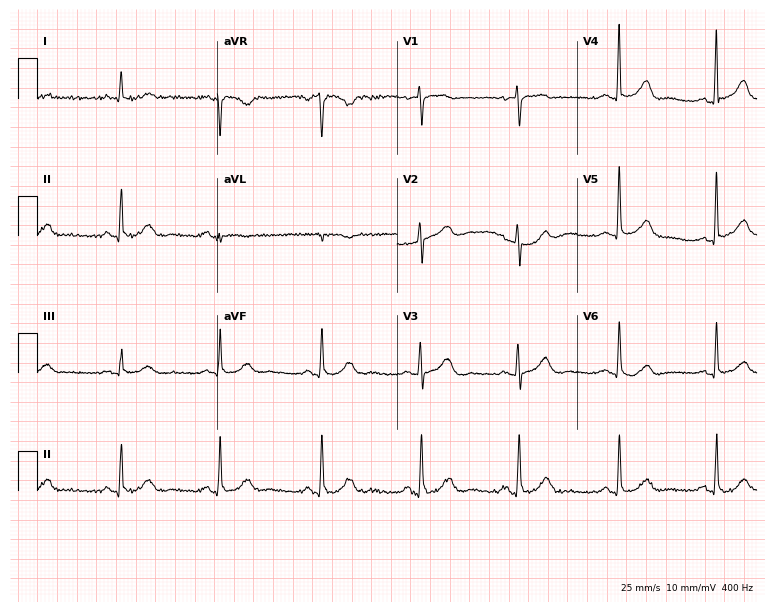
Resting 12-lead electrocardiogram (7.3-second recording at 400 Hz). Patient: a 73-year-old woman. Read as a normal ECG.